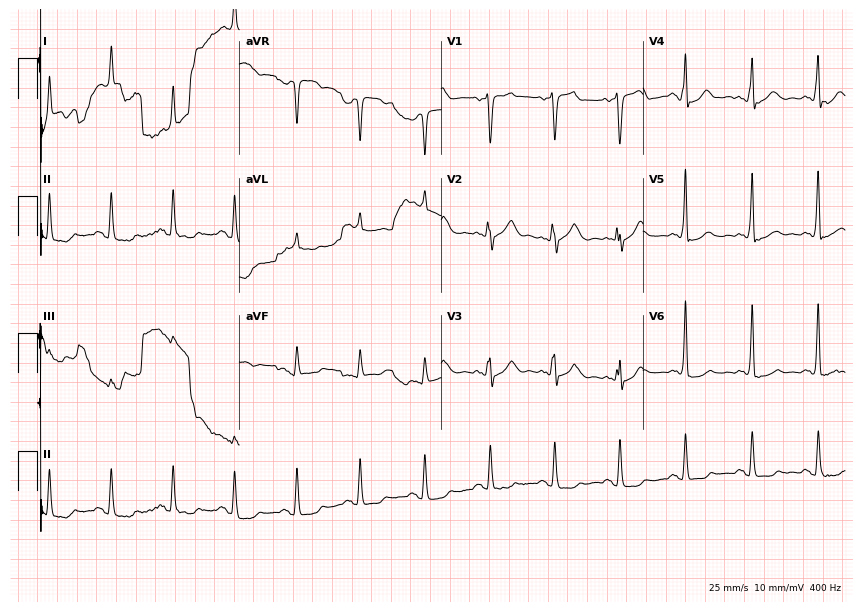
ECG (8.2-second recording at 400 Hz) — a male patient, 79 years old. Screened for six findings — first-degree AV block, right bundle branch block (RBBB), left bundle branch block (LBBB), sinus bradycardia, atrial fibrillation (AF), sinus tachycardia — none is recorded.